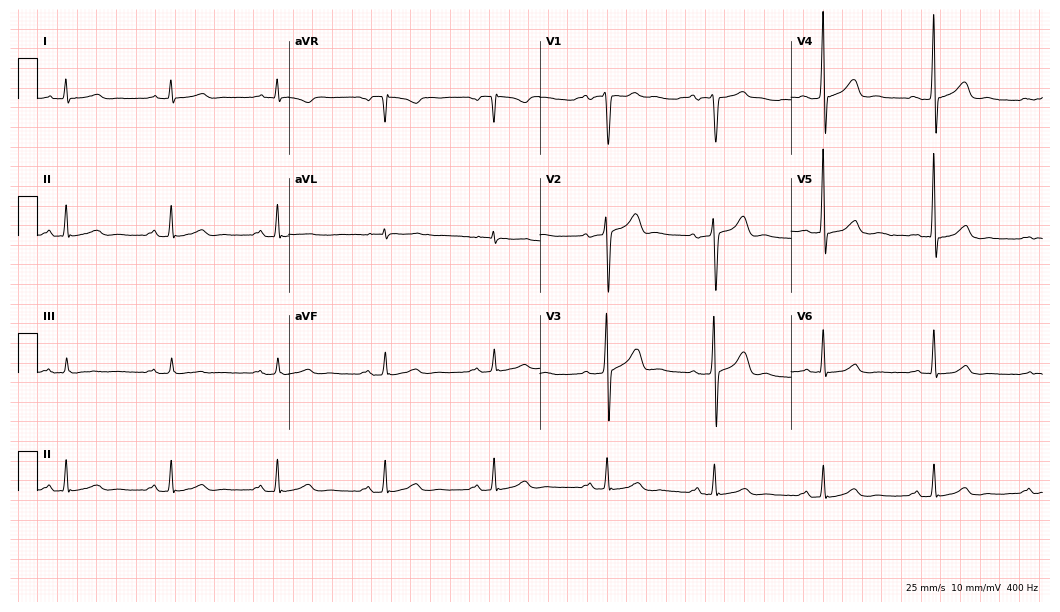
Electrocardiogram (10.2-second recording at 400 Hz), a 58-year-old male. Overall reading on record: normal ECG.